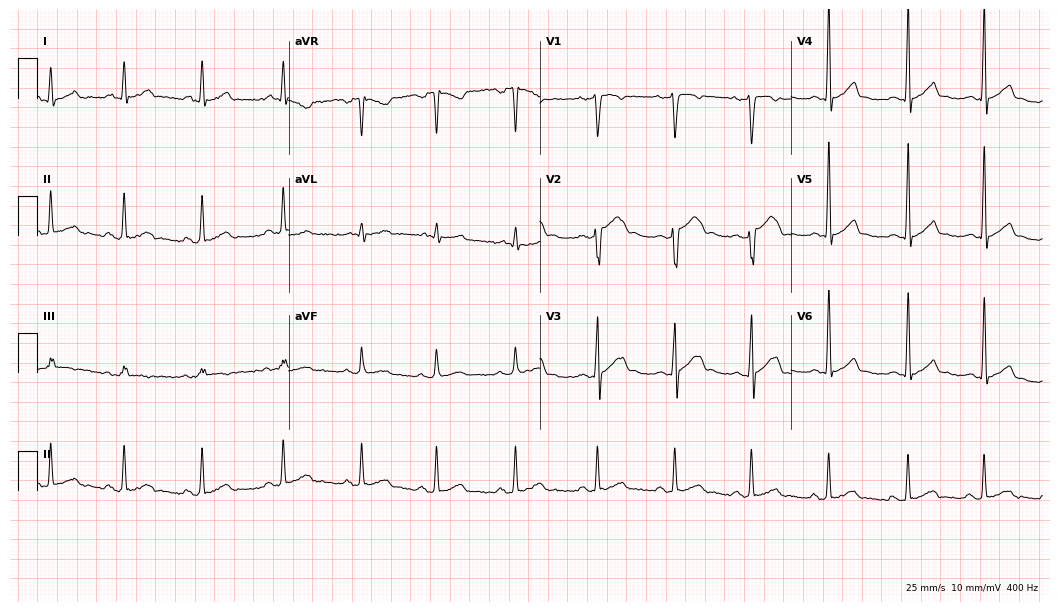
12-lead ECG from a male patient, 17 years old (10.2-second recording at 400 Hz). Recorded interpretation: within normal limits.